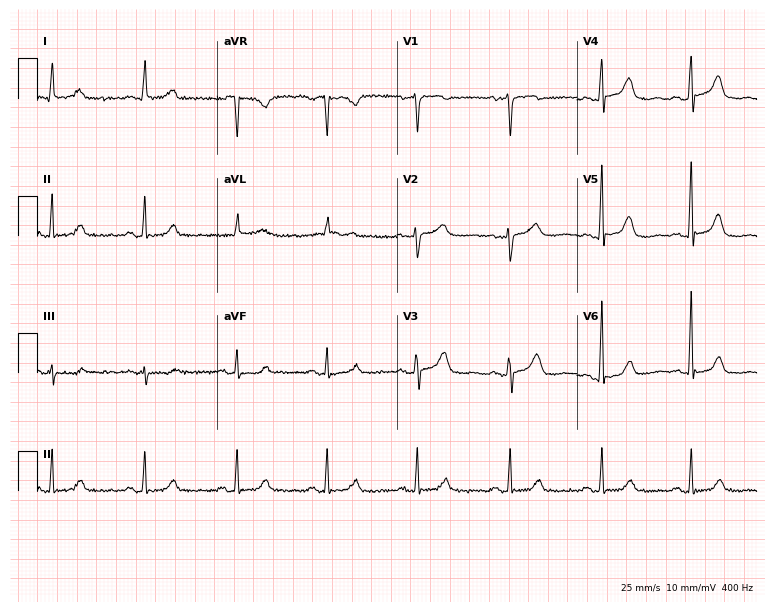
ECG — a 72-year-old female. Labelled as a normal ECG.